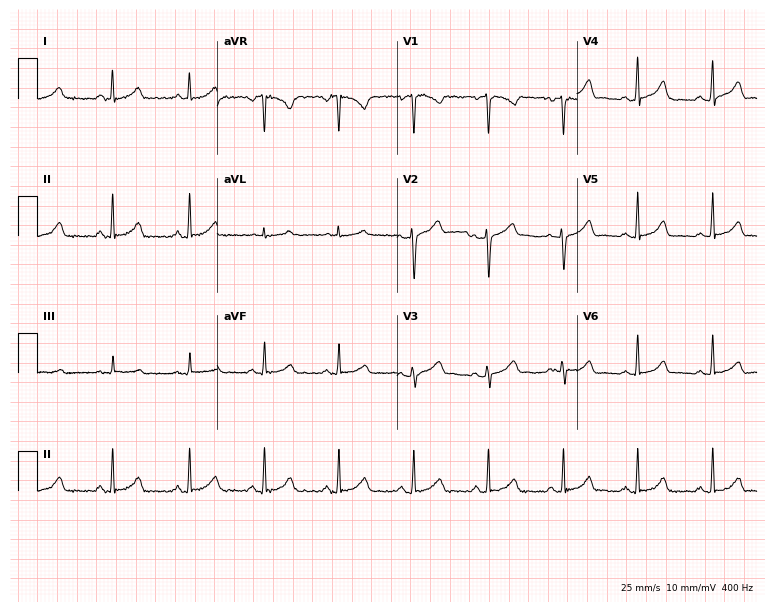
ECG (7.3-second recording at 400 Hz) — a female patient, 43 years old. Labelled as a normal ECG.